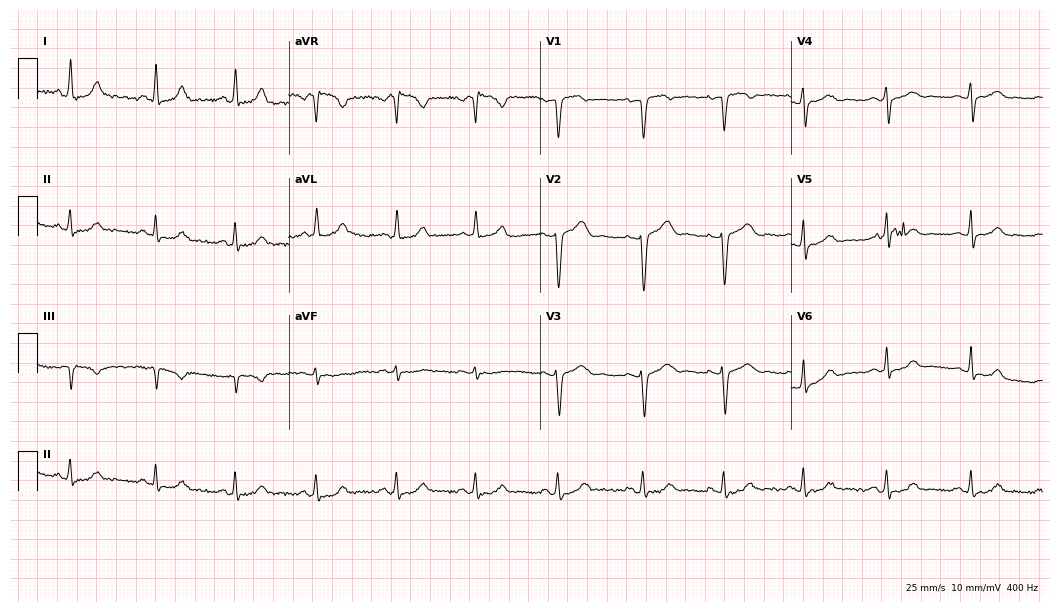
Electrocardiogram (10.2-second recording at 400 Hz), a 39-year-old female. Of the six screened findings (first-degree AV block, right bundle branch block, left bundle branch block, sinus bradycardia, atrial fibrillation, sinus tachycardia), none is recorded. Other findings, if any, are not listed.